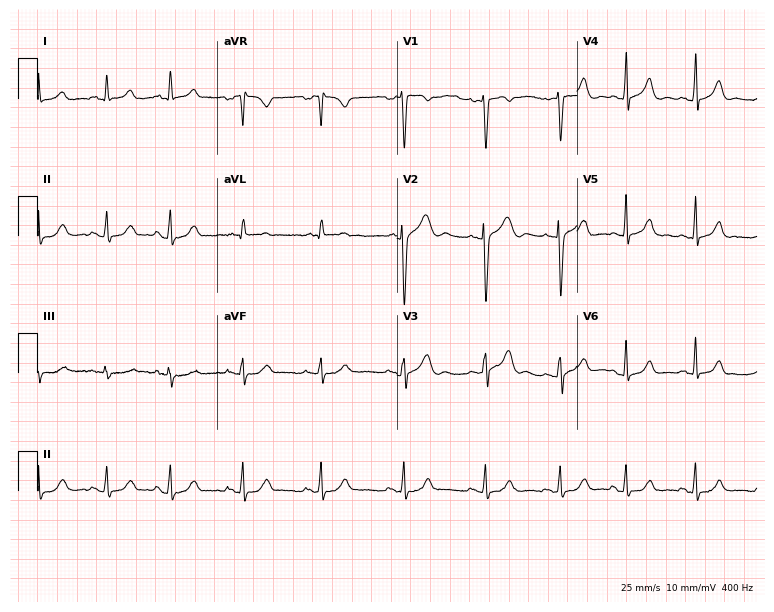
ECG (7.3-second recording at 400 Hz) — an 18-year-old woman. Labelled as a normal ECG.